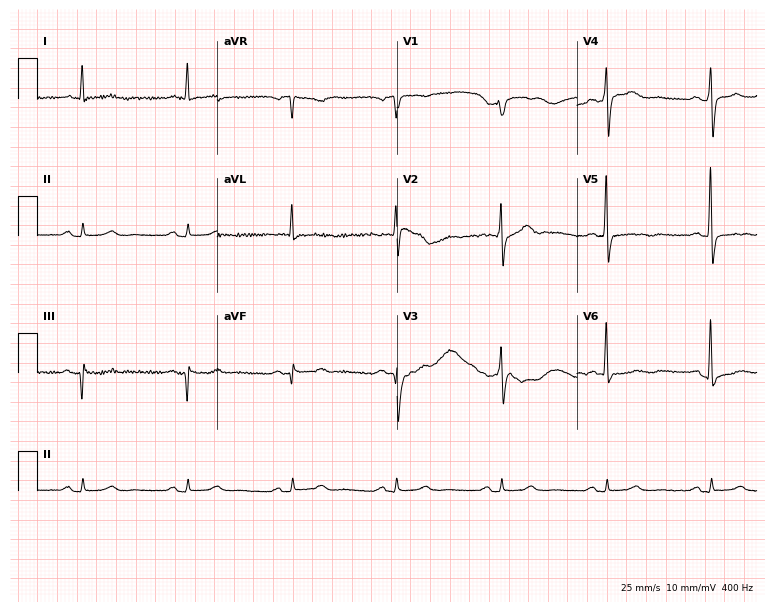
Standard 12-lead ECG recorded from a male patient, 67 years old (7.3-second recording at 400 Hz). None of these six findings is recorded: first-degree AV block, right bundle branch block (RBBB), left bundle branch block (LBBB), sinus bradycardia, atrial fibrillation (AF), sinus tachycardia.